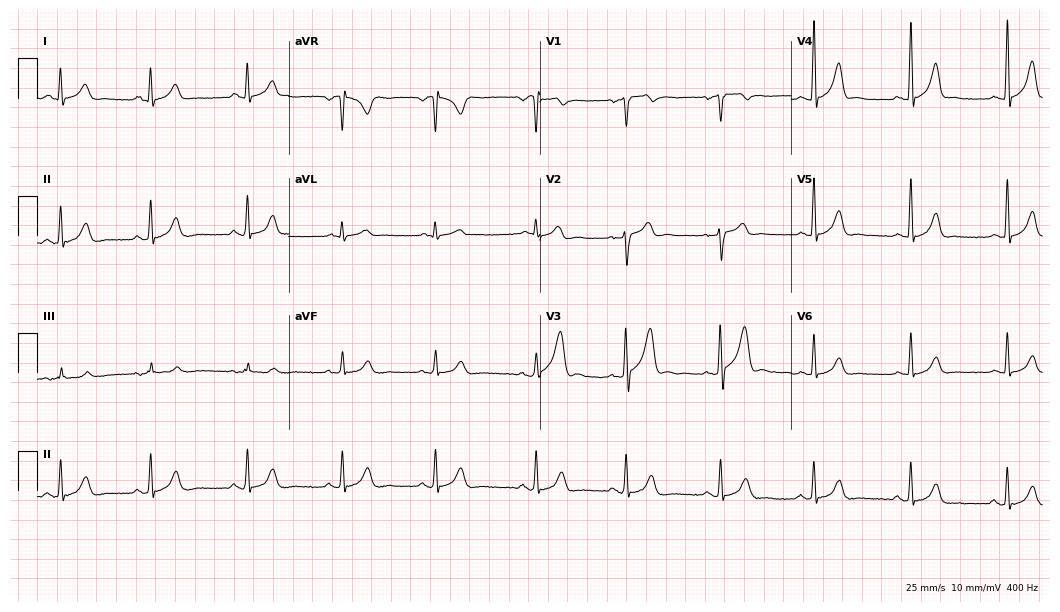
12-lead ECG from a male, 38 years old. Labelled as a normal ECG.